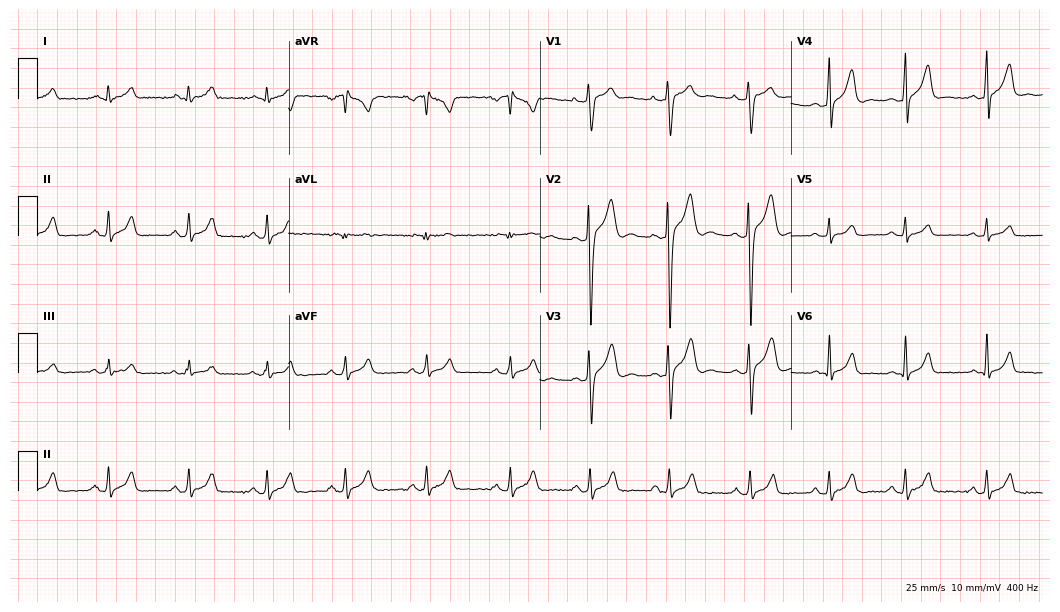
Resting 12-lead electrocardiogram (10.2-second recording at 400 Hz). Patient: an 18-year-old male. None of these six findings is recorded: first-degree AV block, right bundle branch block (RBBB), left bundle branch block (LBBB), sinus bradycardia, atrial fibrillation (AF), sinus tachycardia. Findings outside these six are not listed.